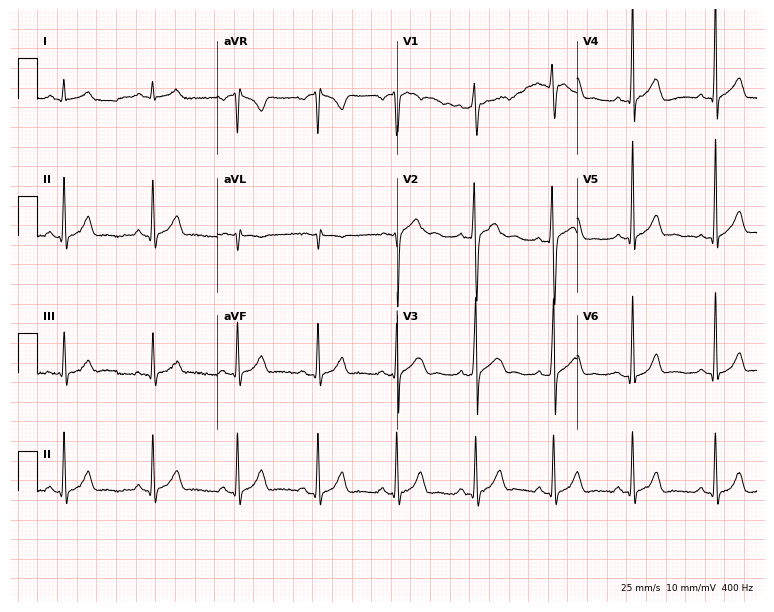
Electrocardiogram (7.3-second recording at 400 Hz), a man, 24 years old. Overall reading on record: normal ECG.